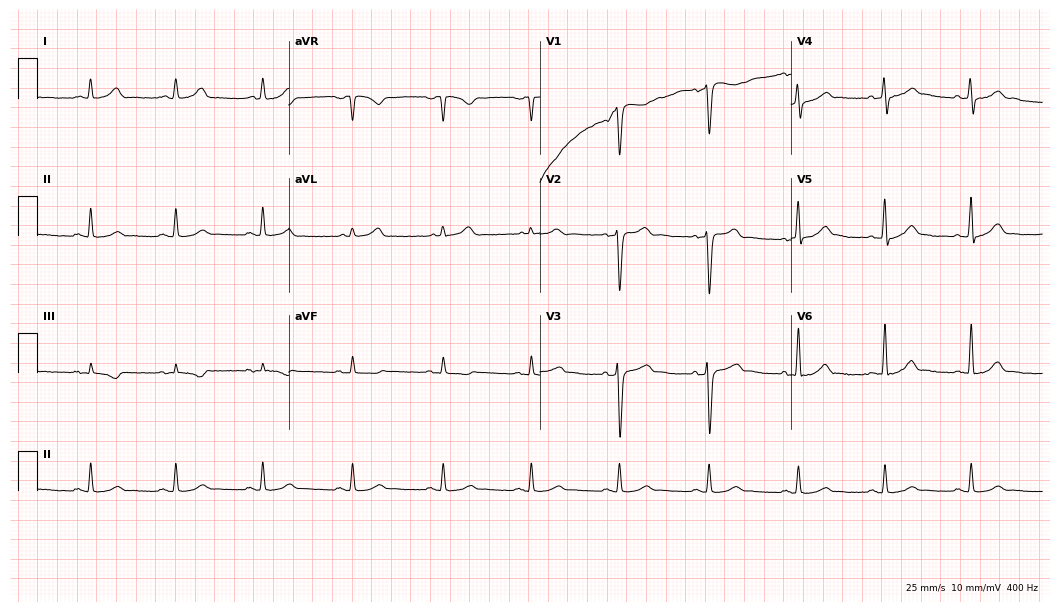
12-lead ECG from a 42-year-old male. Labelled as a normal ECG.